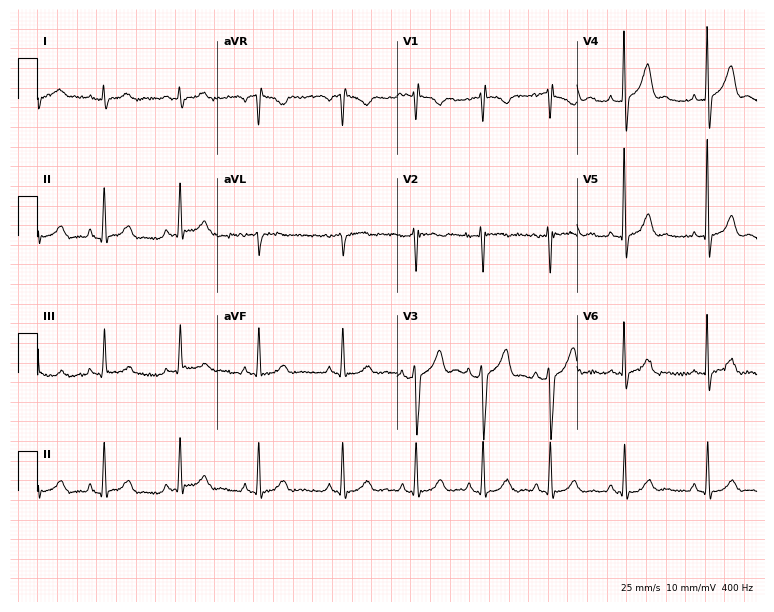
Electrocardiogram, a 25-year-old male patient. Of the six screened findings (first-degree AV block, right bundle branch block (RBBB), left bundle branch block (LBBB), sinus bradycardia, atrial fibrillation (AF), sinus tachycardia), none is recorded. Only these six findings were labelled.